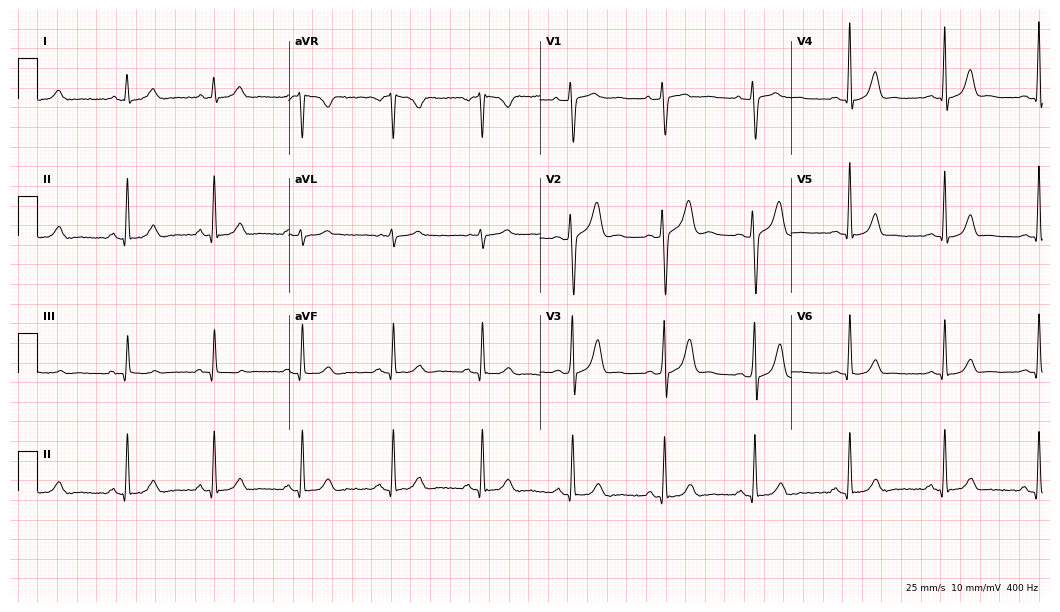
Resting 12-lead electrocardiogram. Patient: a 25-year-old female. Read as a normal ECG.